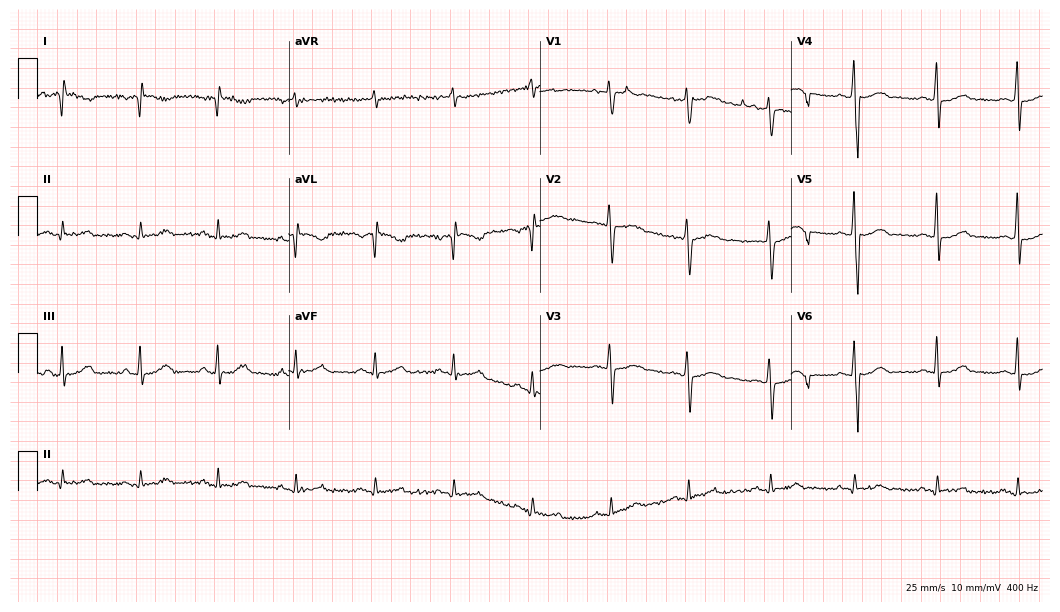
12-lead ECG (10.2-second recording at 400 Hz) from a 44-year-old woman. Screened for six findings — first-degree AV block, right bundle branch block, left bundle branch block, sinus bradycardia, atrial fibrillation, sinus tachycardia — none is recorded.